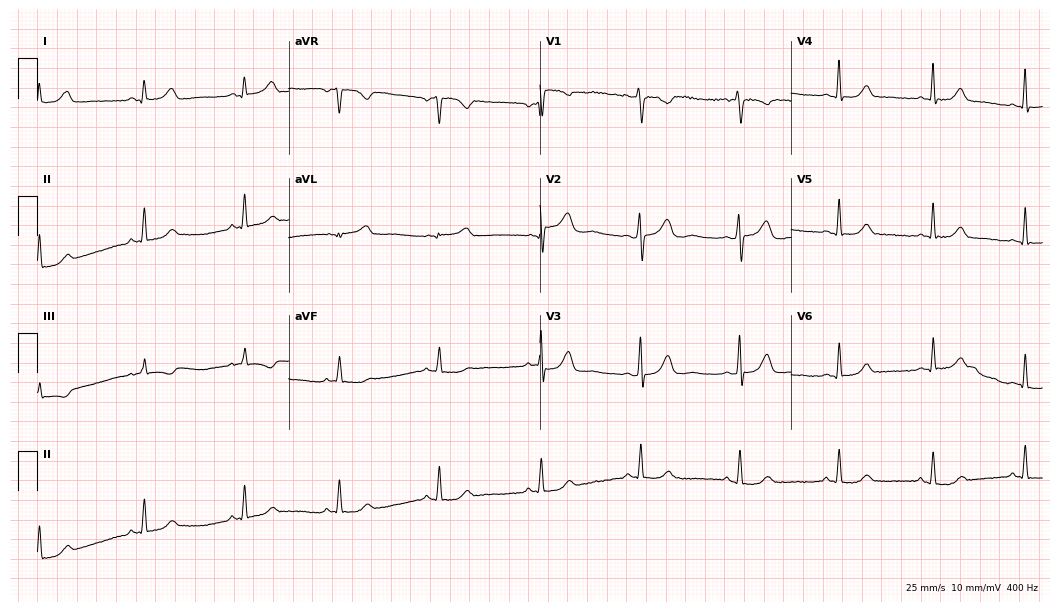
Electrocardiogram (10.2-second recording at 400 Hz), a female, 35 years old. Overall reading on record: normal ECG.